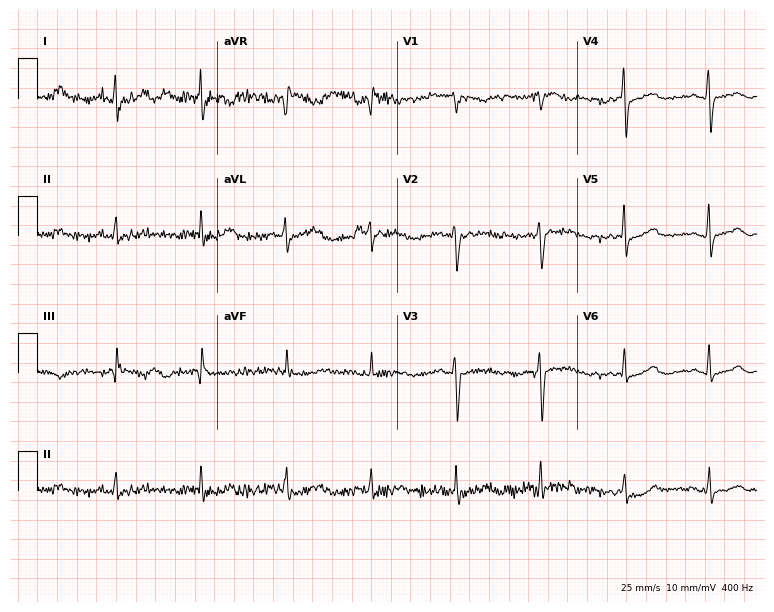
Standard 12-lead ECG recorded from a 32-year-old man (7.3-second recording at 400 Hz). None of these six findings is recorded: first-degree AV block, right bundle branch block (RBBB), left bundle branch block (LBBB), sinus bradycardia, atrial fibrillation (AF), sinus tachycardia. Other findings, if any, are not listed.